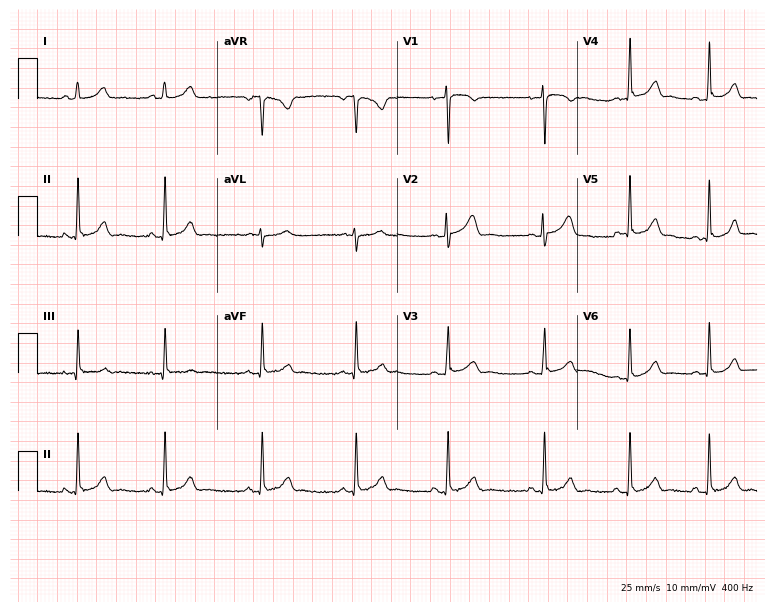
Standard 12-lead ECG recorded from a female, 20 years old. Read as a normal ECG.